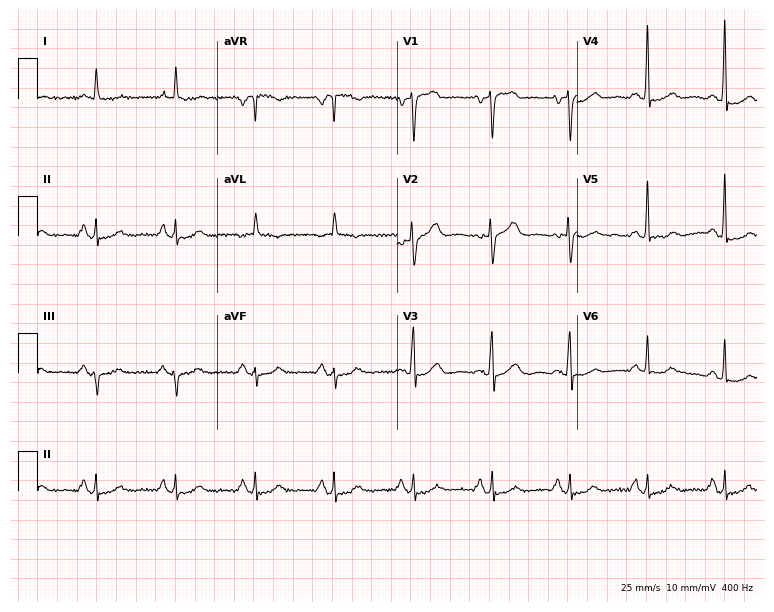
12-lead ECG from a man, 70 years old (7.3-second recording at 400 Hz). No first-degree AV block, right bundle branch block (RBBB), left bundle branch block (LBBB), sinus bradycardia, atrial fibrillation (AF) or sinus tachycardia recorded for this tracing.